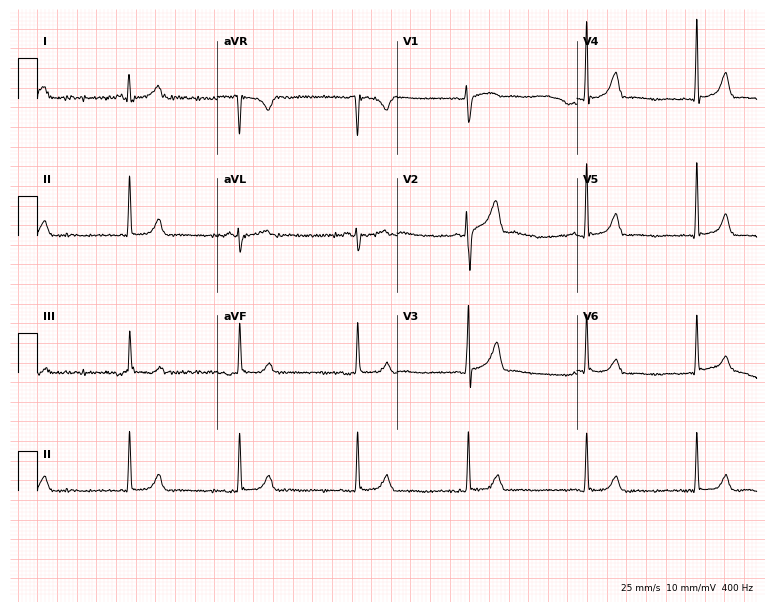
12-lead ECG from a man, 18 years old. Recorded interpretation: within normal limits.